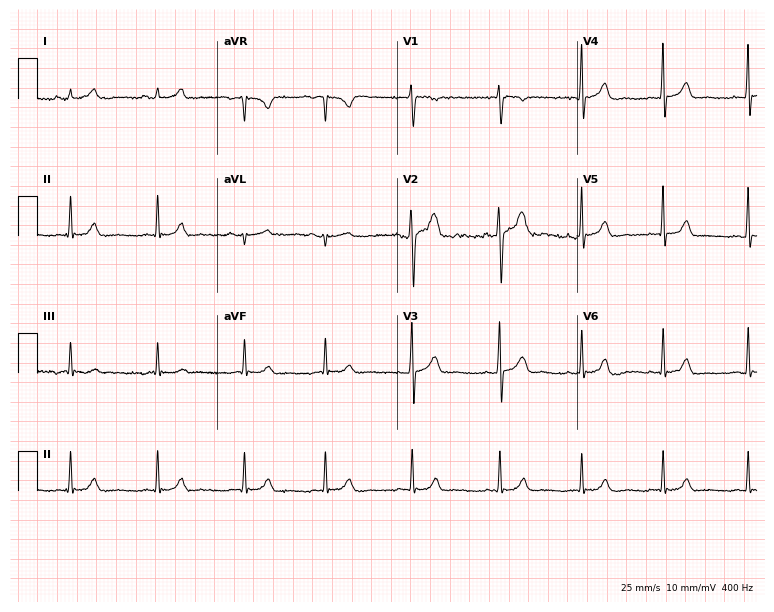
12-lead ECG from a 20-year-old female patient. Recorded interpretation: within normal limits.